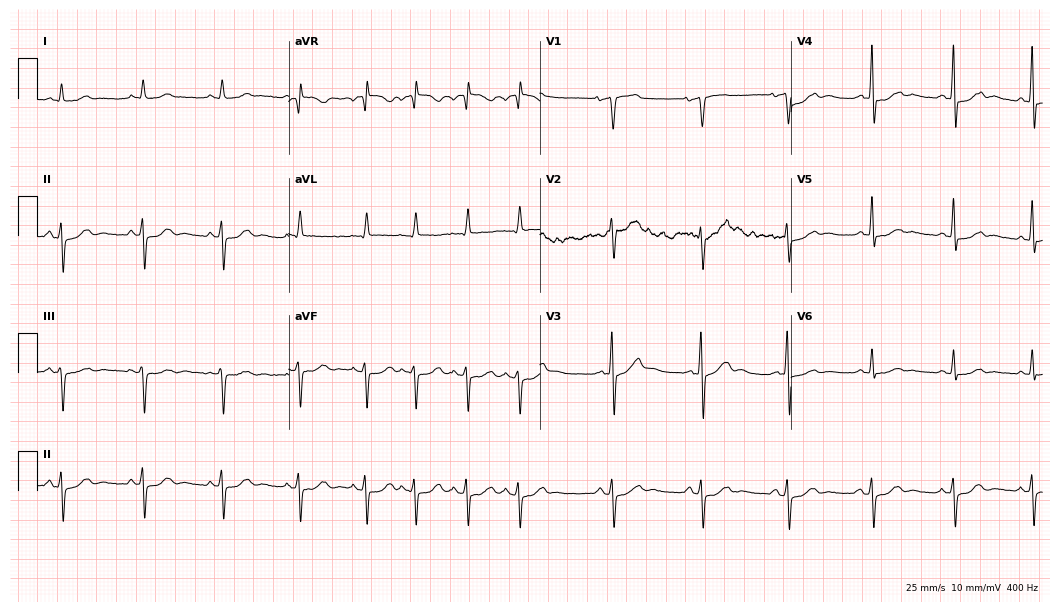
Resting 12-lead electrocardiogram (10.2-second recording at 400 Hz). Patient: a man, 79 years old. None of these six findings is recorded: first-degree AV block, right bundle branch block (RBBB), left bundle branch block (LBBB), sinus bradycardia, atrial fibrillation (AF), sinus tachycardia. Other findings, if any, are not listed.